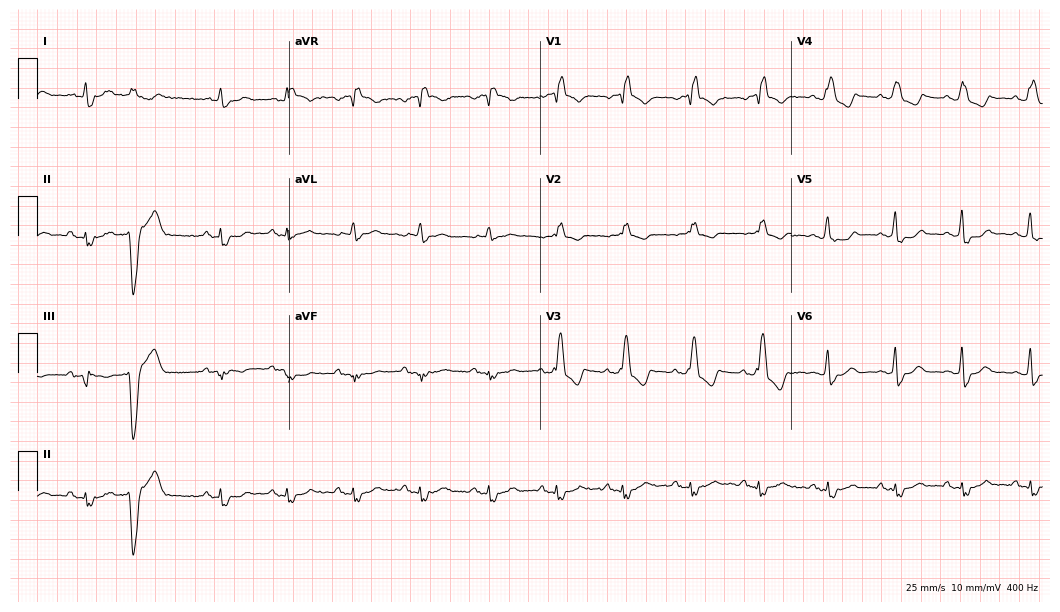
Resting 12-lead electrocardiogram. Patient: a male, 72 years old. The tracing shows right bundle branch block.